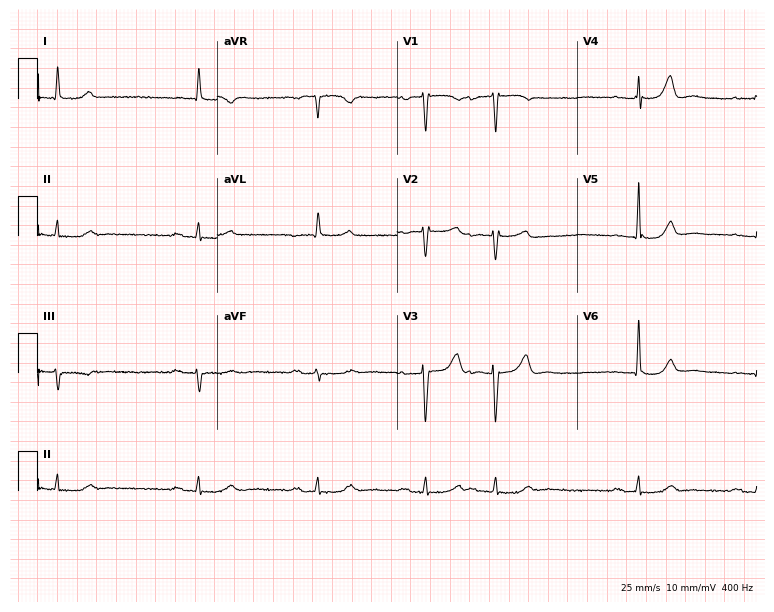
ECG — an 84-year-old female. Findings include first-degree AV block, sinus bradycardia (a sinus rate of 50 beats per minute or less).